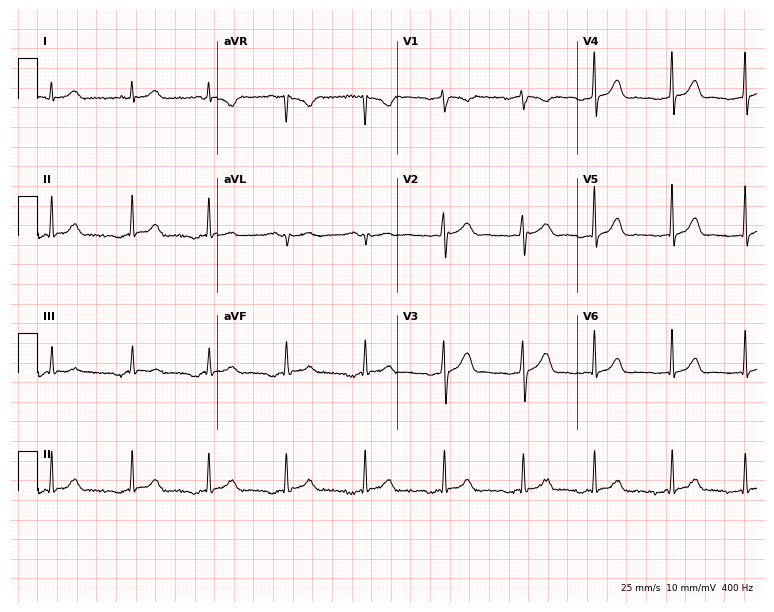
Resting 12-lead electrocardiogram (7.3-second recording at 400 Hz). Patient: a female, 35 years old. None of these six findings is recorded: first-degree AV block, right bundle branch block, left bundle branch block, sinus bradycardia, atrial fibrillation, sinus tachycardia.